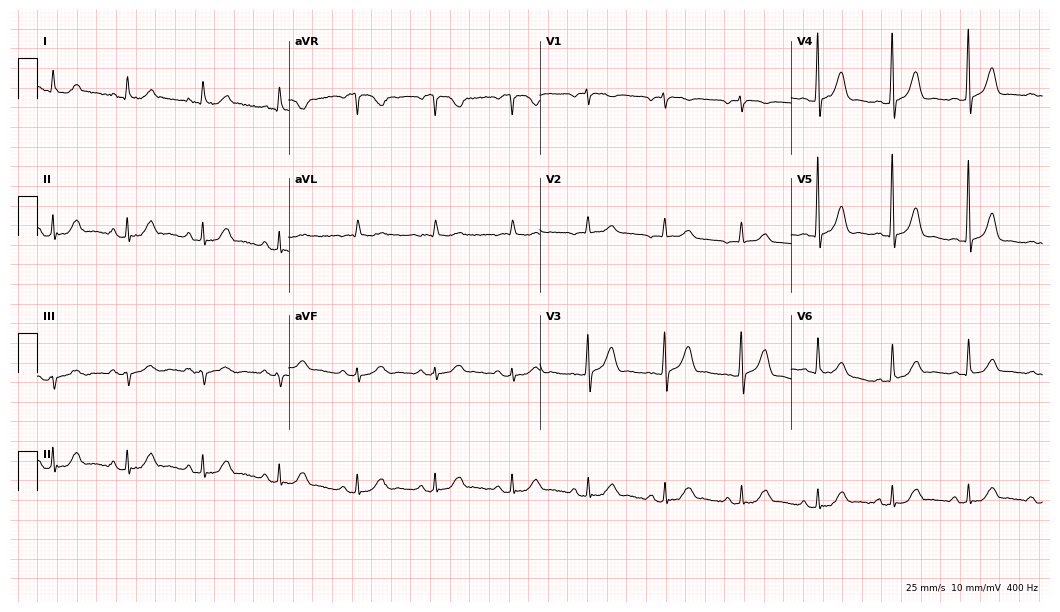
Electrocardiogram (10.2-second recording at 400 Hz), an 85-year-old man. Overall reading on record: normal ECG.